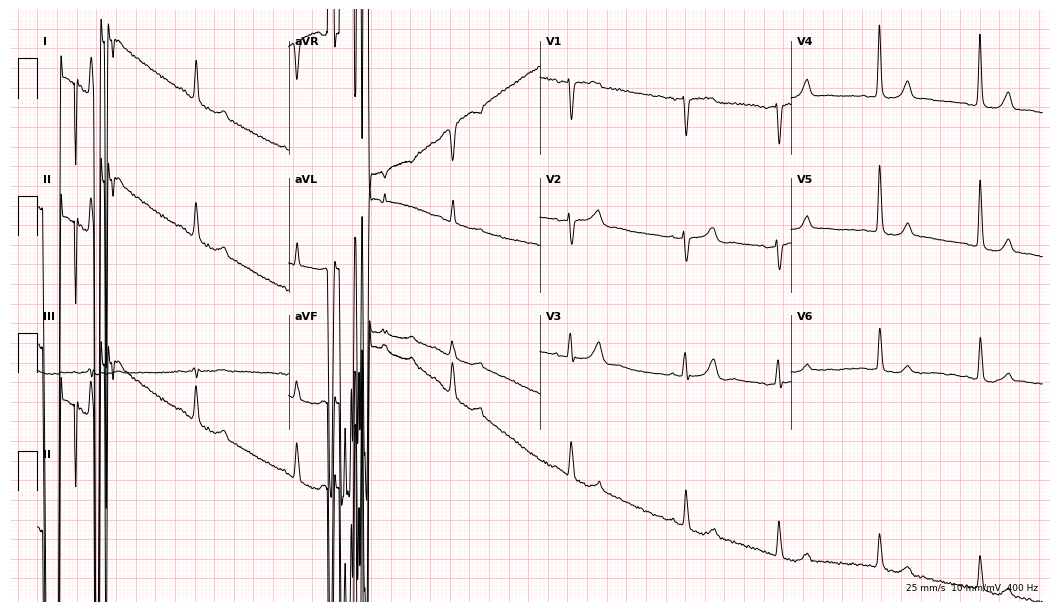
Resting 12-lead electrocardiogram. Patient: a woman, 73 years old. None of these six findings is recorded: first-degree AV block, right bundle branch block, left bundle branch block, sinus bradycardia, atrial fibrillation, sinus tachycardia. Other findings, if any, are not listed.